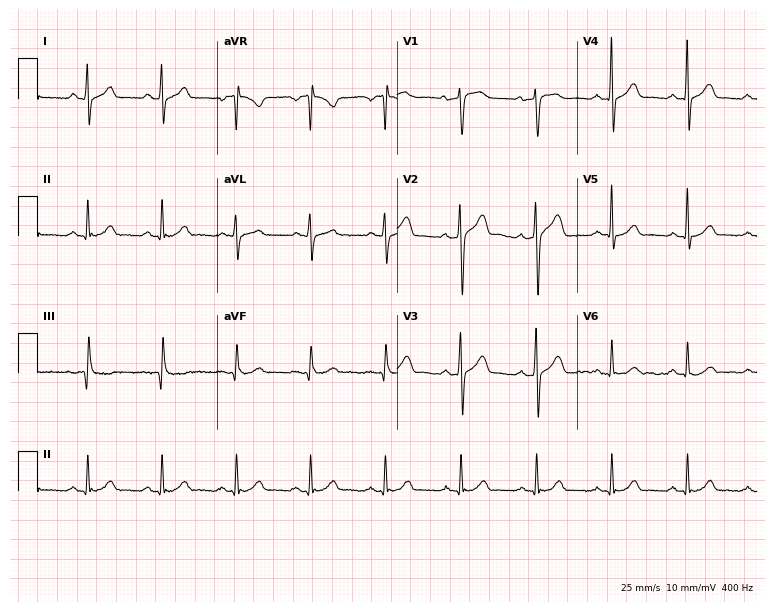
ECG — a 43-year-old male patient. Labelled as a normal ECG.